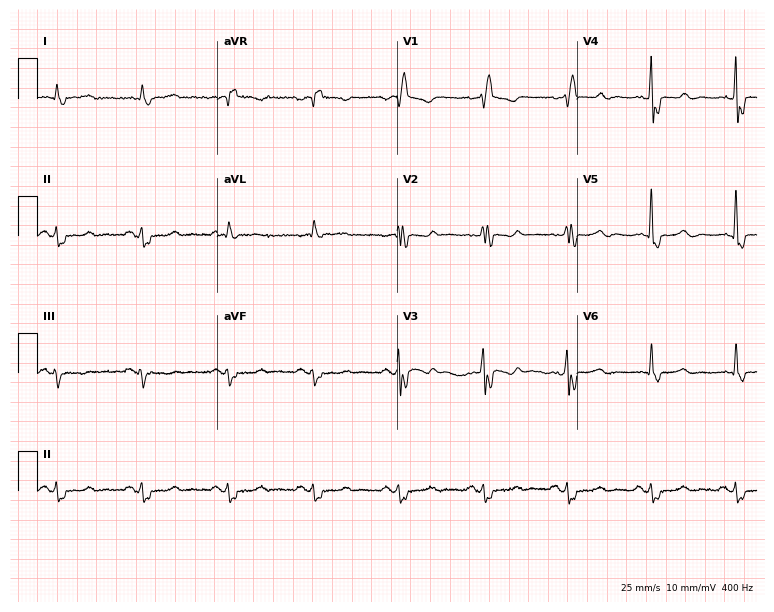
ECG — a 79-year-old male. Findings include right bundle branch block (RBBB).